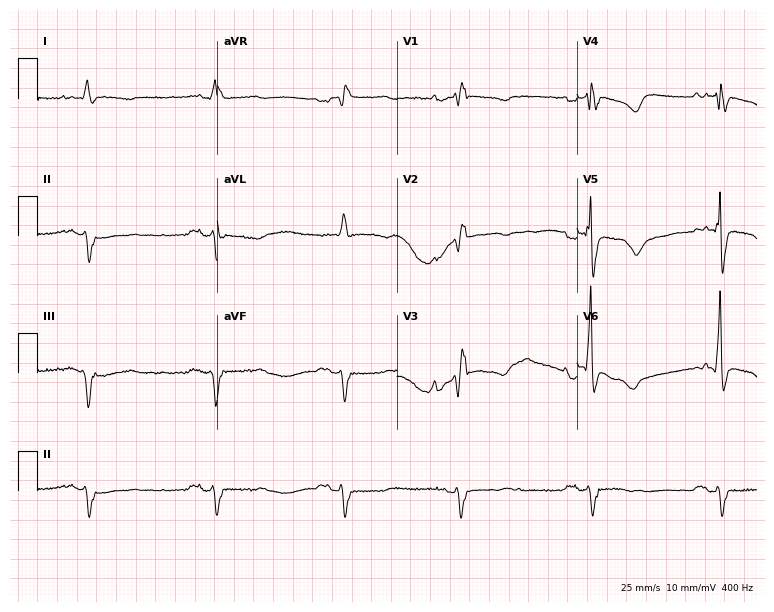
Standard 12-lead ECG recorded from a 71-year-old male patient. The tracing shows right bundle branch block (RBBB), sinus bradycardia (a sinus rate of 50 beats per minute or less).